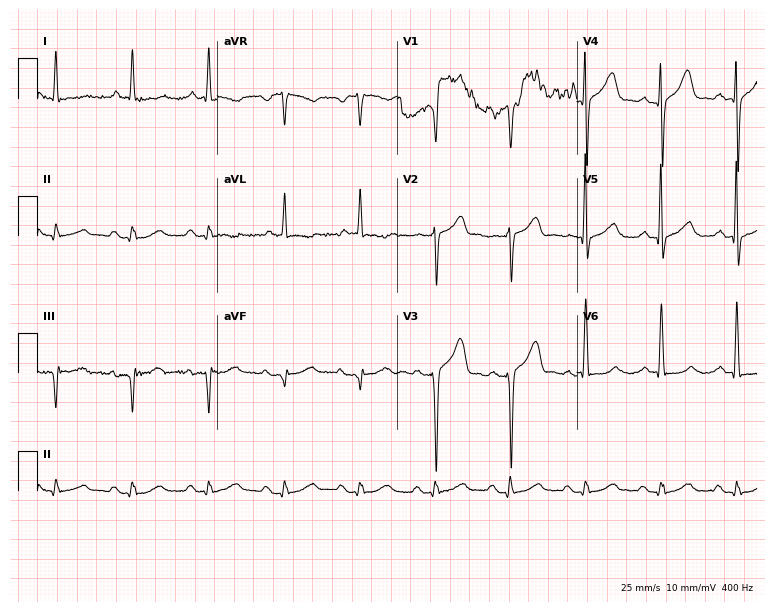
ECG (7.3-second recording at 400 Hz) — a male patient, 76 years old. Screened for six findings — first-degree AV block, right bundle branch block, left bundle branch block, sinus bradycardia, atrial fibrillation, sinus tachycardia — none is recorded.